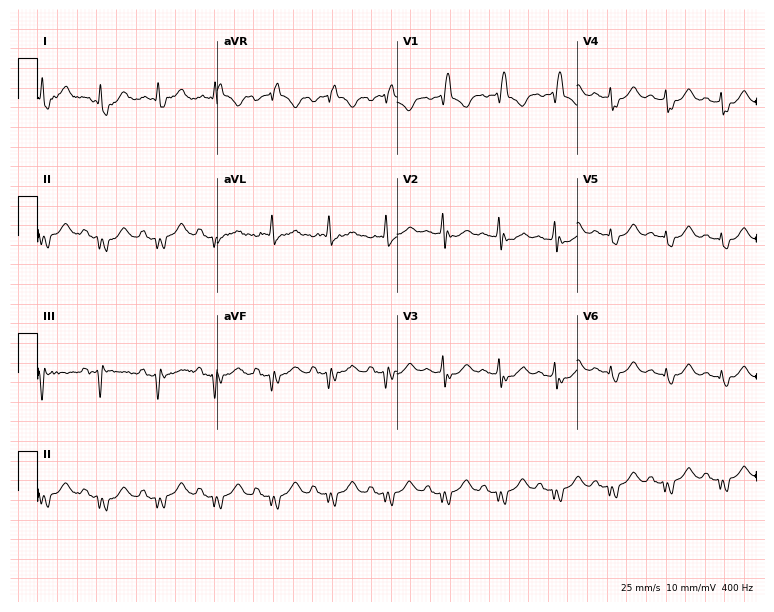
Standard 12-lead ECG recorded from a female, 71 years old (7.3-second recording at 400 Hz). The tracing shows right bundle branch block.